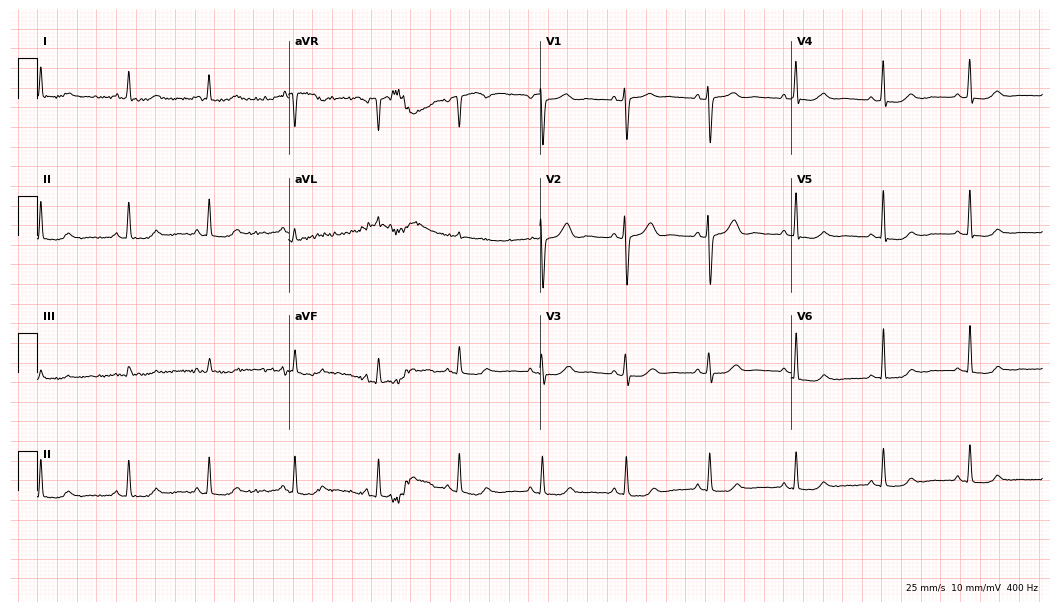
12-lead ECG from a 46-year-old female (10.2-second recording at 400 Hz). Recorded interpretation: within normal limits.